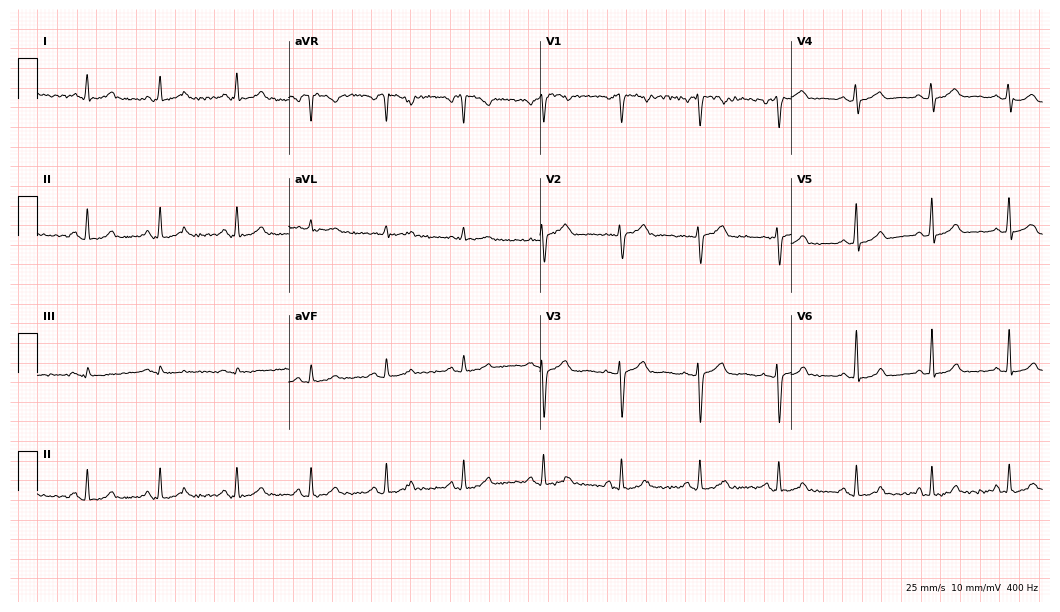
Standard 12-lead ECG recorded from a 45-year-old woman. None of these six findings is recorded: first-degree AV block, right bundle branch block (RBBB), left bundle branch block (LBBB), sinus bradycardia, atrial fibrillation (AF), sinus tachycardia.